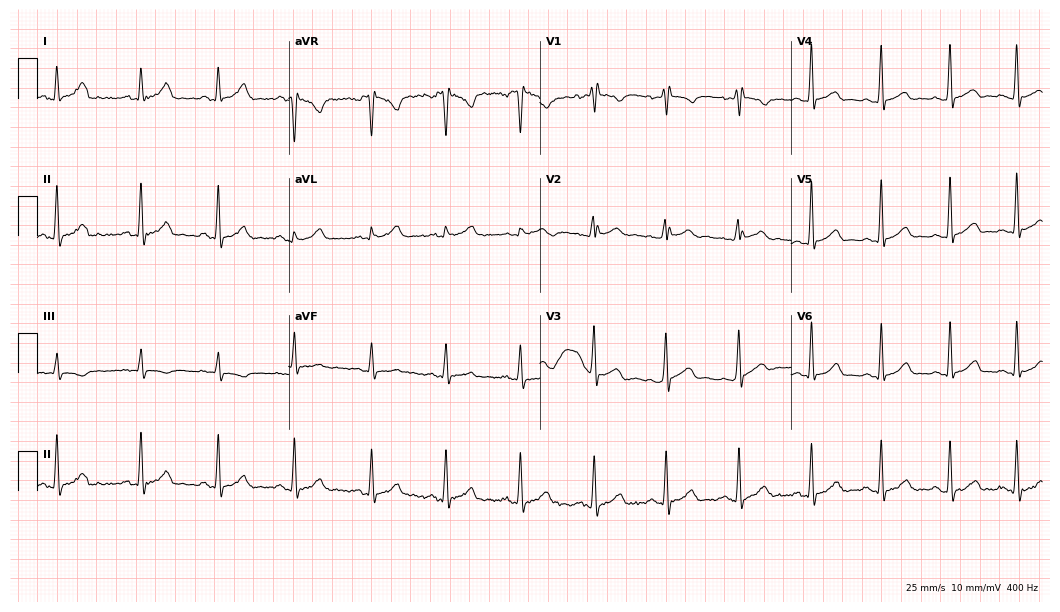
Standard 12-lead ECG recorded from a 30-year-old man (10.2-second recording at 400 Hz). None of these six findings is recorded: first-degree AV block, right bundle branch block, left bundle branch block, sinus bradycardia, atrial fibrillation, sinus tachycardia. Other findings, if any, are not listed.